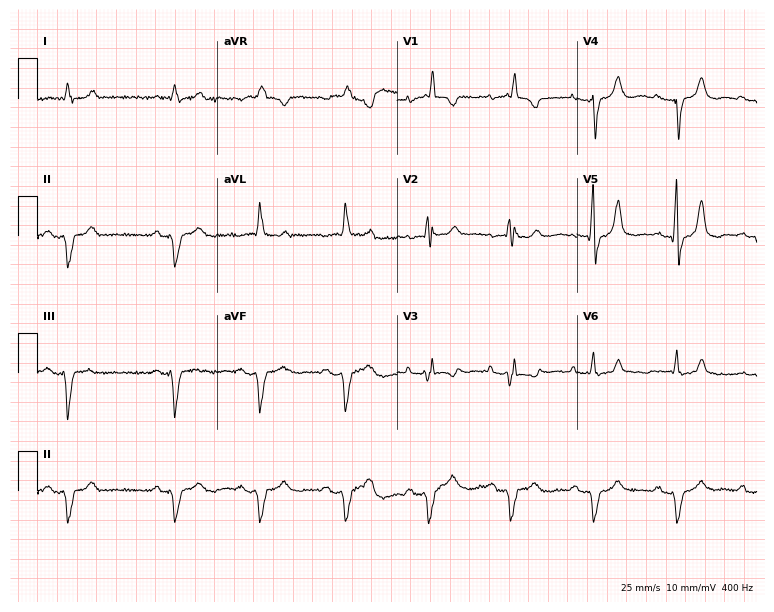
Resting 12-lead electrocardiogram. Patient: a female, 87 years old. The tracing shows right bundle branch block.